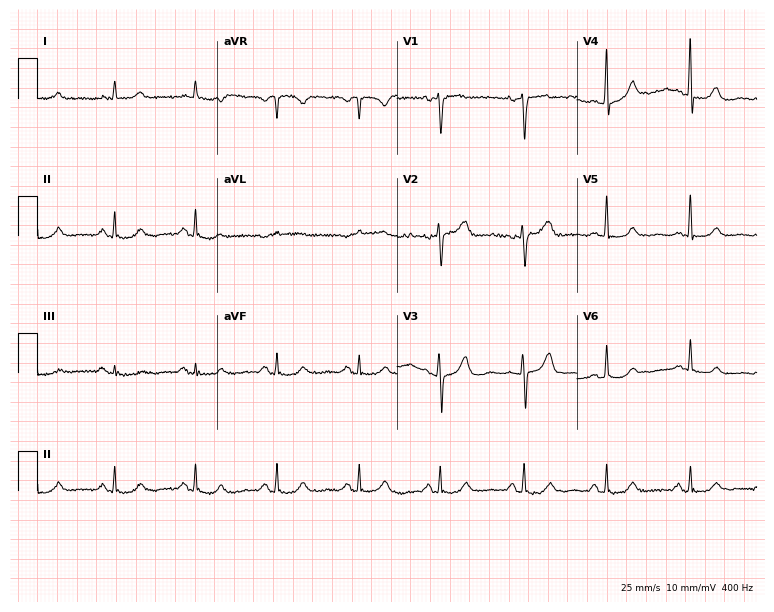
12-lead ECG from a 70-year-old female. No first-degree AV block, right bundle branch block, left bundle branch block, sinus bradycardia, atrial fibrillation or sinus tachycardia recorded for this tracing. Only these six findings were labelled.